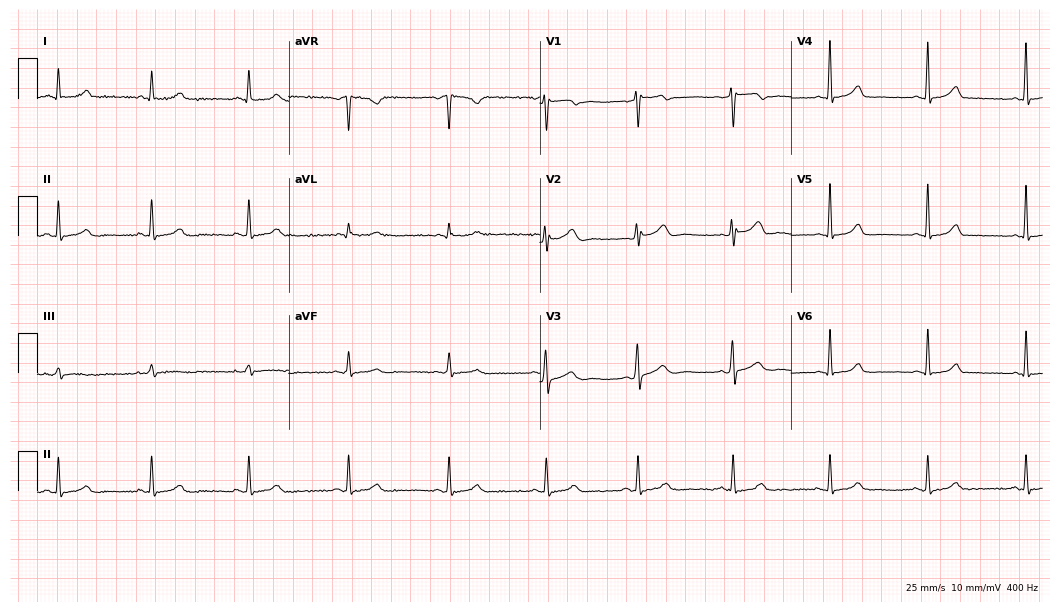
12-lead ECG from a female patient, 33 years old (10.2-second recording at 400 Hz). Recorded interpretation: within normal limits.